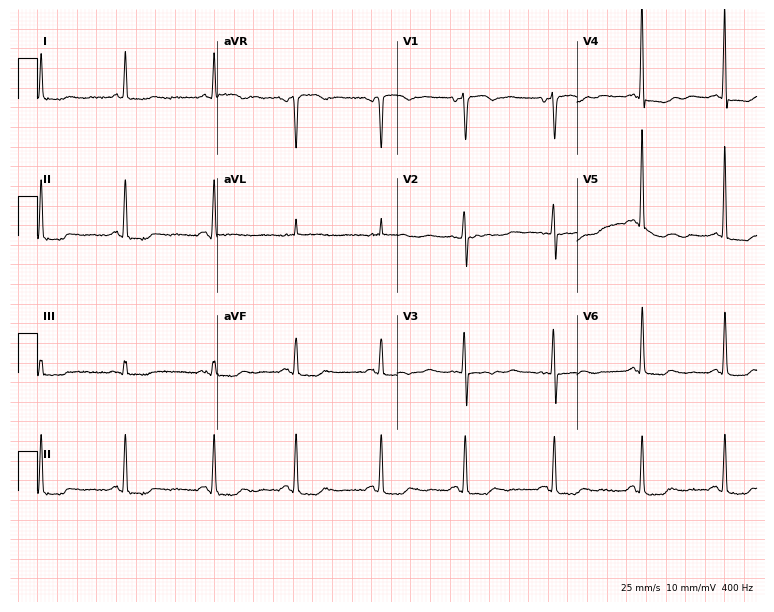
Electrocardiogram (7.3-second recording at 400 Hz), a 75-year-old female patient. Of the six screened findings (first-degree AV block, right bundle branch block, left bundle branch block, sinus bradycardia, atrial fibrillation, sinus tachycardia), none is recorded.